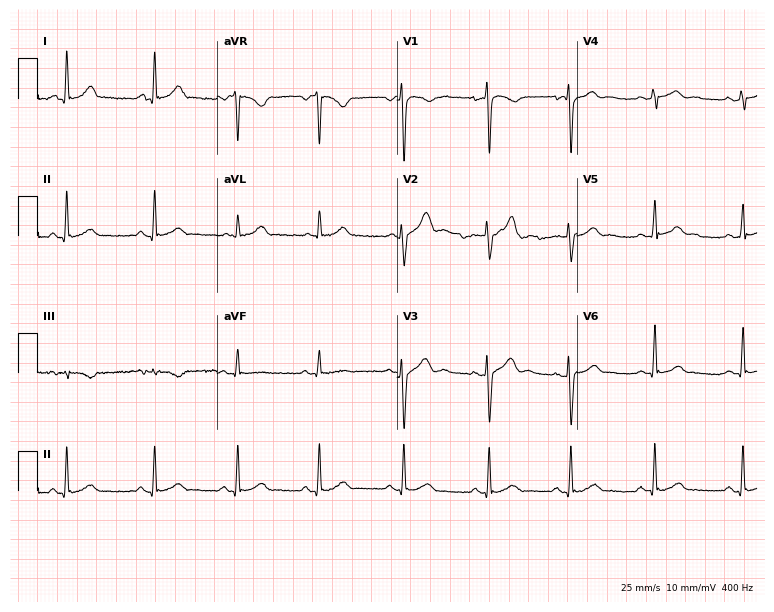
Standard 12-lead ECG recorded from a male patient, 23 years old. Read as a normal ECG.